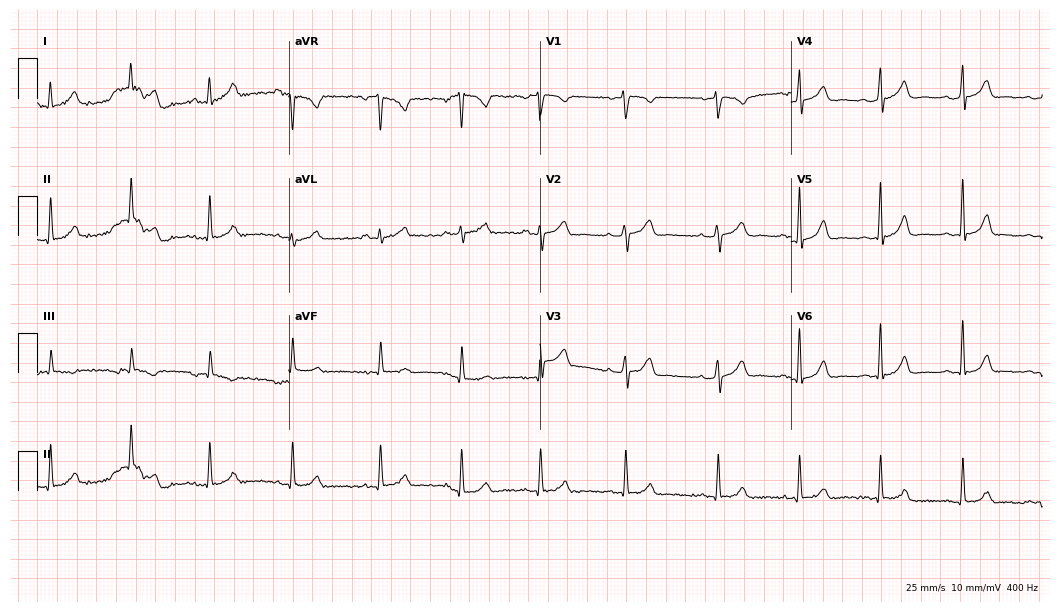
12-lead ECG from a female, 40 years old. Screened for six findings — first-degree AV block, right bundle branch block (RBBB), left bundle branch block (LBBB), sinus bradycardia, atrial fibrillation (AF), sinus tachycardia — none is recorded. Findings outside these six are not listed.